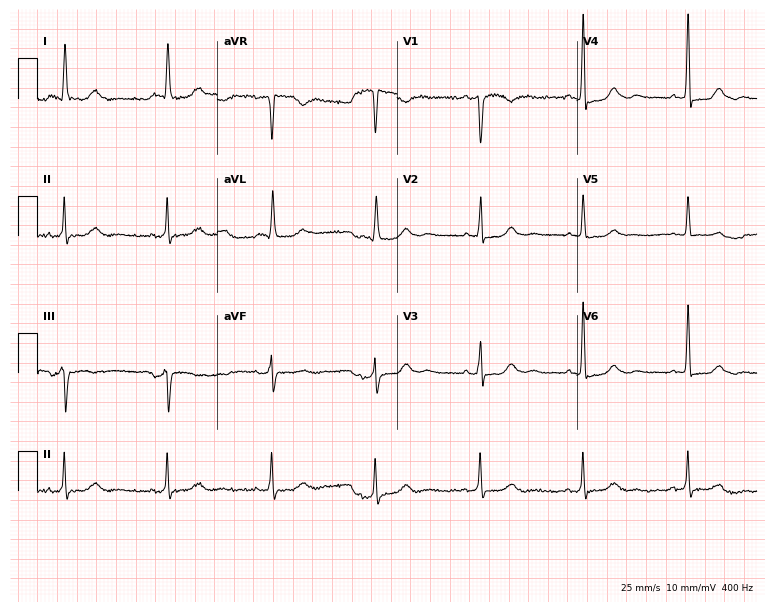
12-lead ECG (7.3-second recording at 400 Hz) from a female patient, 72 years old. Screened for six findings — first-degree AV block, right bundle branch block, left bundle branch block, sinus bradycardia, atrial fibrillation, sinus tachycardia — none is recorded. Findings outside these six are not listed.